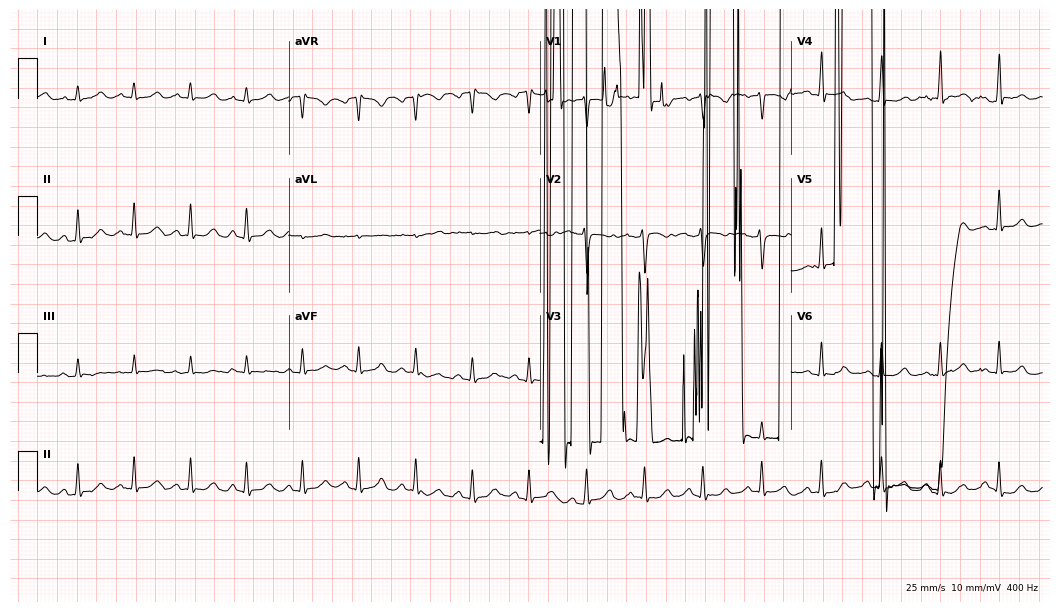
12-lead ECG (10.2-second recording at 400 Hz) from a 30-year-old female patient. Screened for six findings — first-degree AV block, right bundle branch block (RBBB), left bundle branch block (LBBB), sinus bradycardia, atrial fibrillation (AF), sinus tachycardia — none is recorded. Findings outside these six are not listed.